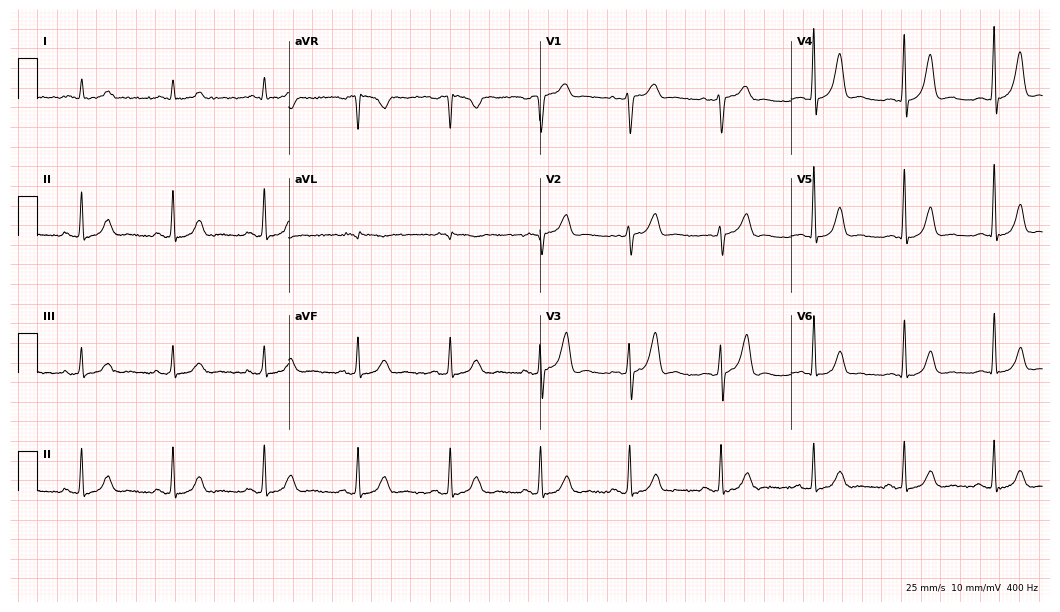
Electrocardiogram (10.2-second recording at 400 Hz), a 58-year-old man. Overall reading on record: normal ECG.